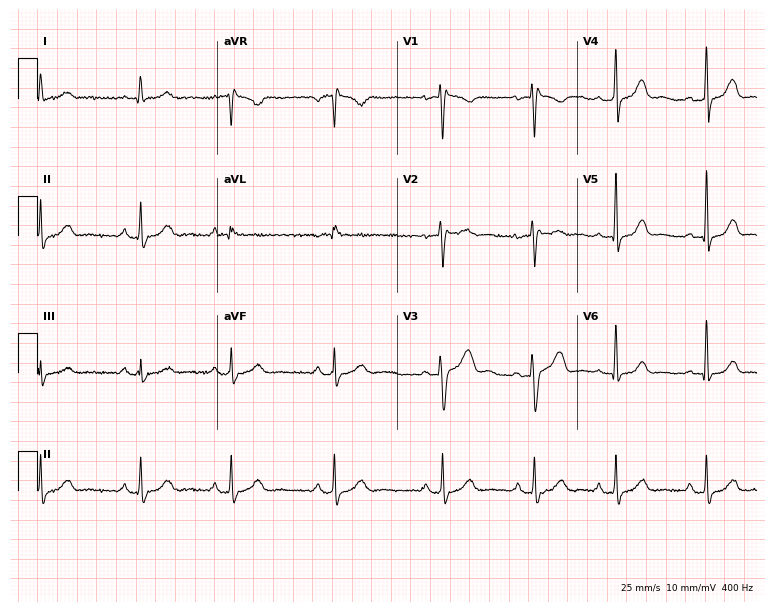
12-lead ECG (7.3-second recording at 400 Hz) from a 36-year-old female patient. Screened for six findings — first-degree AV block, right bundle branch block, left bundle branch block, sinus bradycardia, atrial fibrillation, sinus tachycardia — none is recorded.